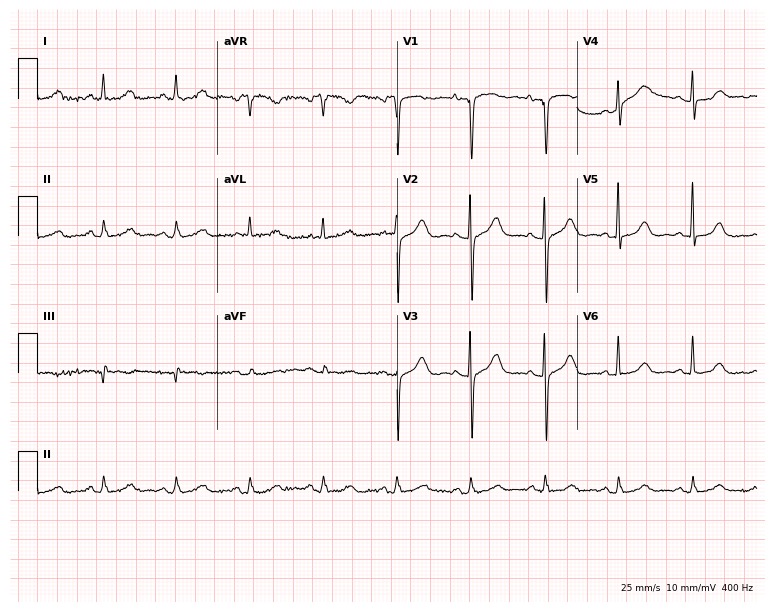
Resting 12-lead electrocardiogram (7.3-second recording at 400 Hz). Patient: a female, 81 years old. Read as a normal ECG.